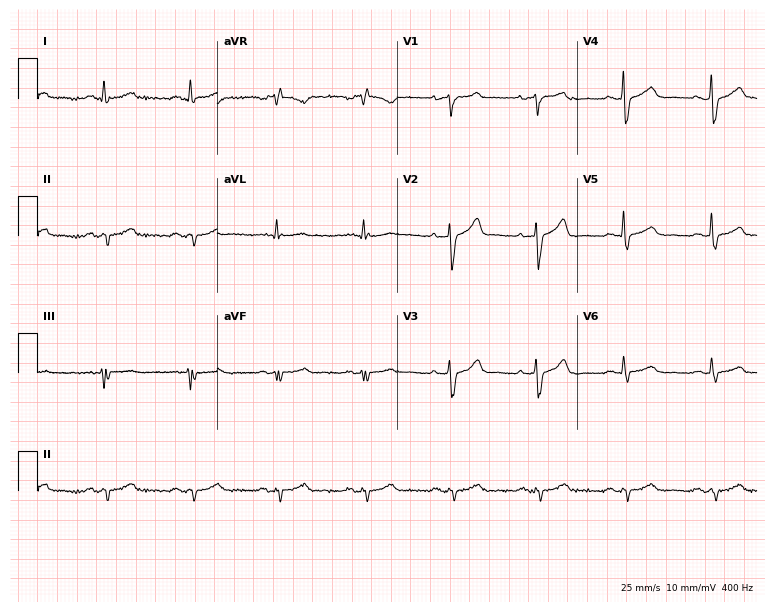
12-lead ECG from a male, 81 years old (7.3-second recording at 400 Hz). No first-degree AV block, right bundle branch block, left bundle branch block, sinus bradycardia, atrial fibrillation or sinus tachycardia recorded for this tracing. Other findings, if any, are not listed.